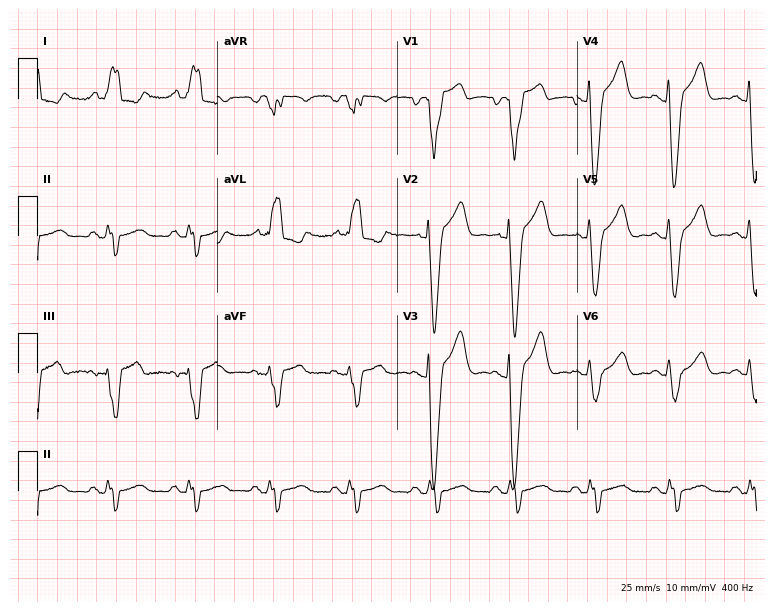
Standard 12-lead ECG recorded from a 78-year-old woman (7.3-second recording at 400 Hz). The tracing shows left bundle branch block.